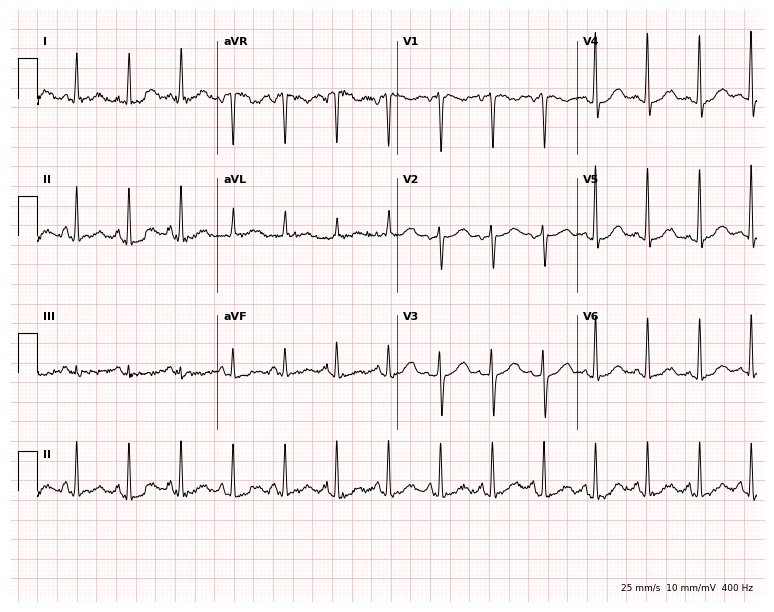
ECG — a 41-year-old female patient. Findings include sinus tachycardia (a sinus rate of 100 beats per minute or more).